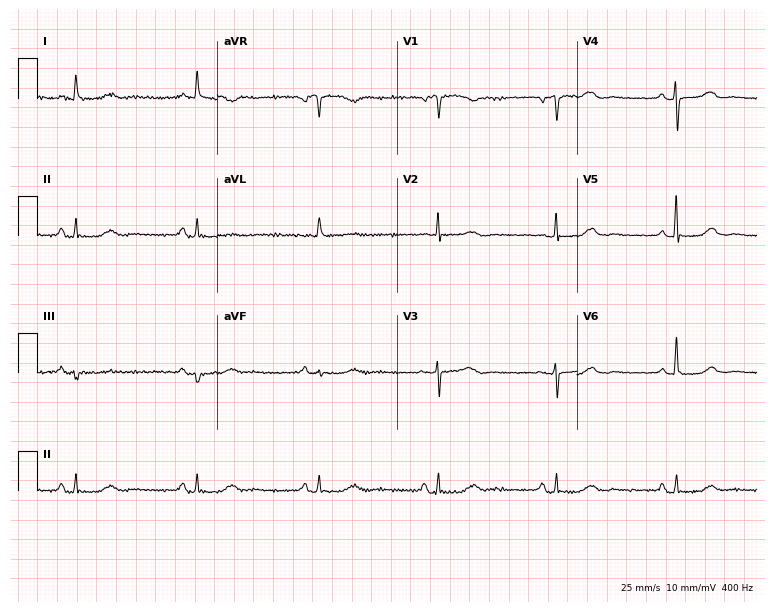
ECG — a 72-year-old female. Screened for six findings — first-degree AV block, right bundle branch block, left bundle branch block, sinus bradycardia, atrial fibrillation, sinus tachycardia — none is recorded.